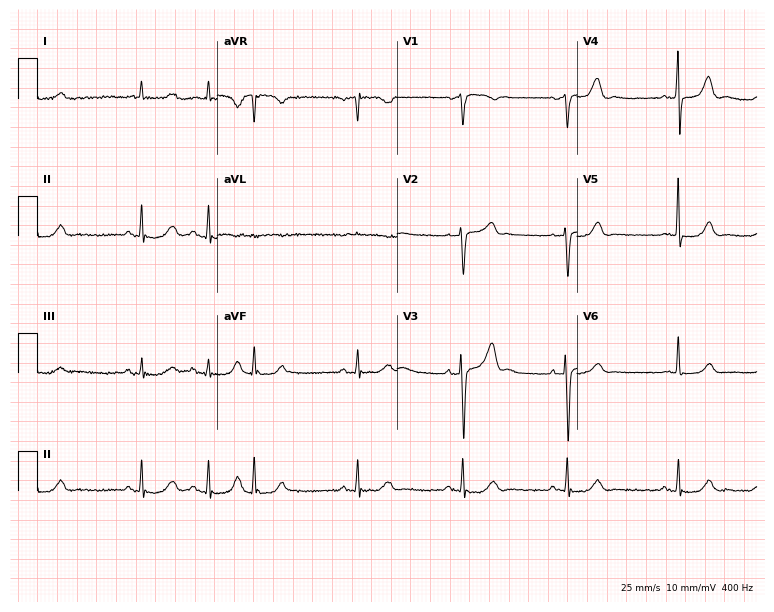
ECG — a man, 63 years old. Screened for six findings — first-degree AV block, right bundle branch block (RBBB), left bundle branch block (LBBB), sinus bradycardia, atrial fibrillation (AF), sinus tachycardia — none is recorded.